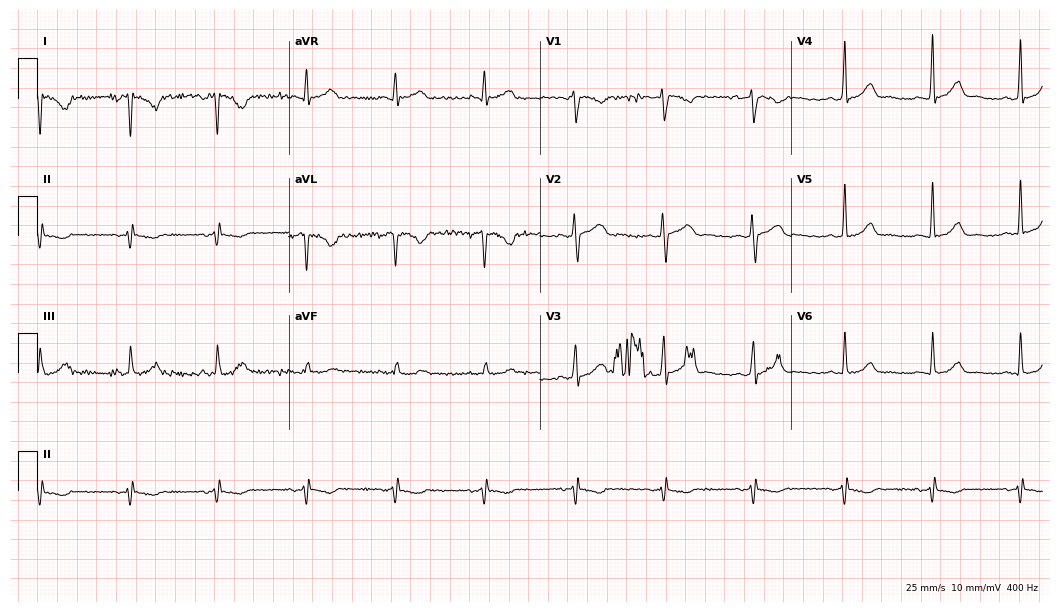
Electrocardiogram, a 36-year-old female. Of the six screened findings (first-degree AV block, right bundle branch block (RBBB), left bundle branch block (LBBB), sinus bradycardia, atrial fibrillation (AF), sinus tachycardia), none is recorded. Other findings, if any, are not listed.